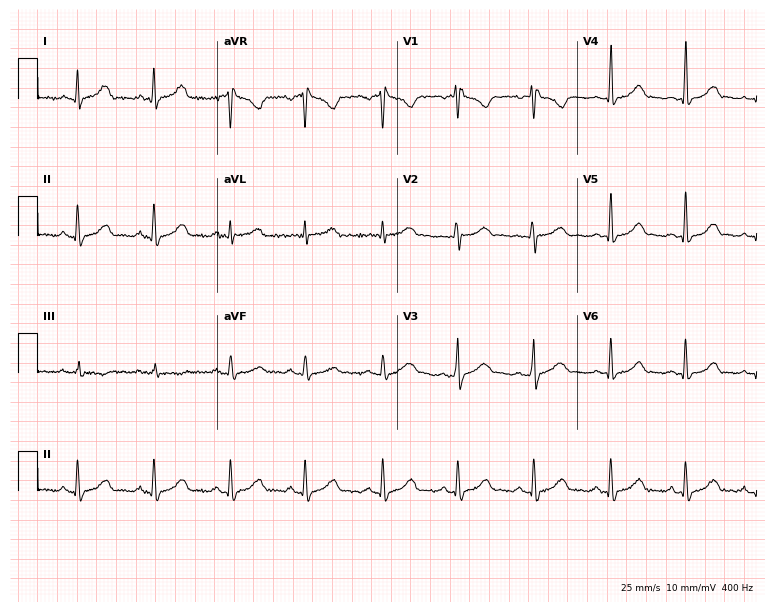
Resting 12-lead electrocardiogram (7.3-second recording at 400 Hz). Patient: a 24-year-old female. Read as a normal ECG.